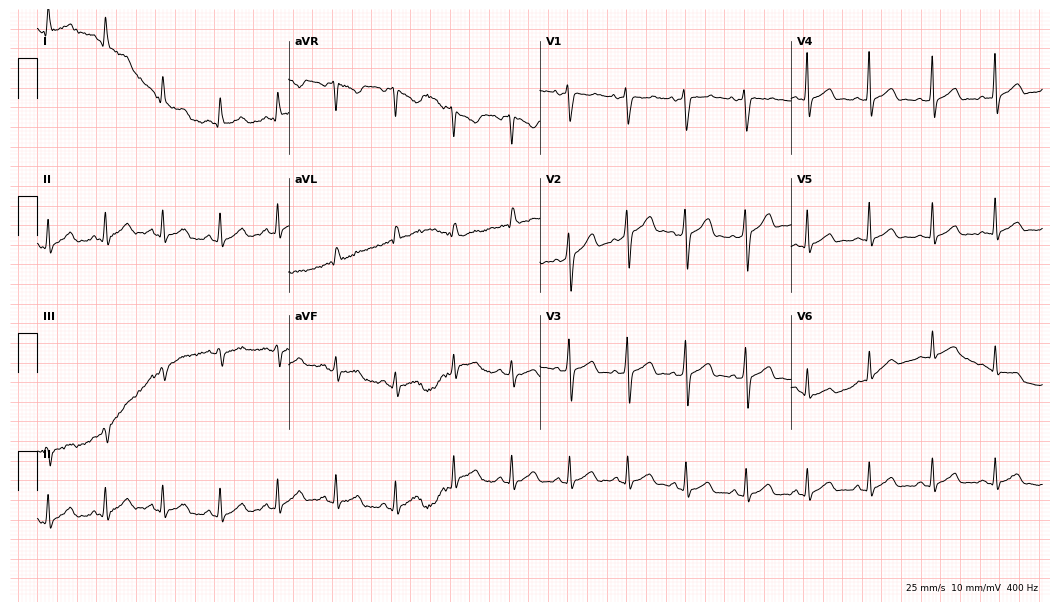
Standard 12-lead ECG recorded from a 40-year-old woman (10.2-second recording at 400 Hz). None of these six findings is recorded: first-degree AV block, right bundle branch block (RBBB), left bundle branch block (LBBB), sinus bradycardia, atrial fibrillation (AF), sinus tachycardia. Findings outside these six are not listed.